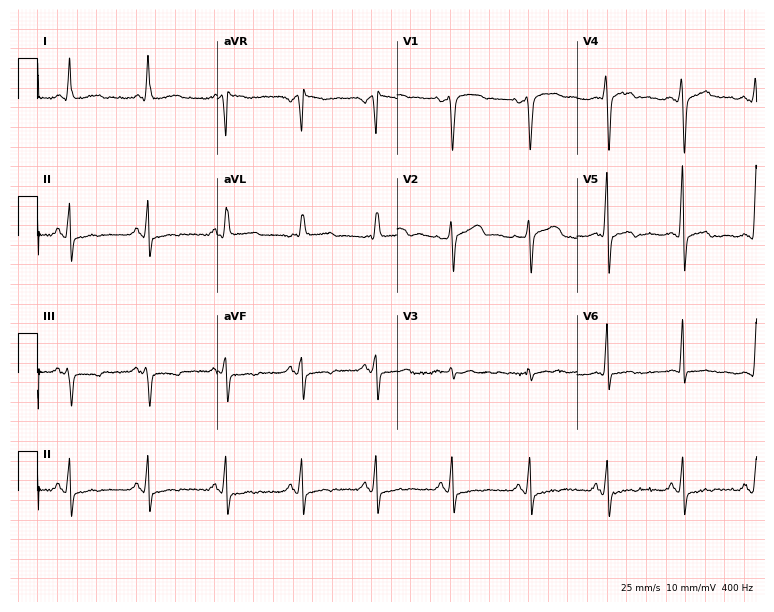
Standard 12-lead ECG recorded from a female patient, 56 years old. None of these six findings is recorded: first-degree AV block, right bundle branch block, left bundle branch block, sinus bradycardia, atrial fibrillation, sinus tachycardia.